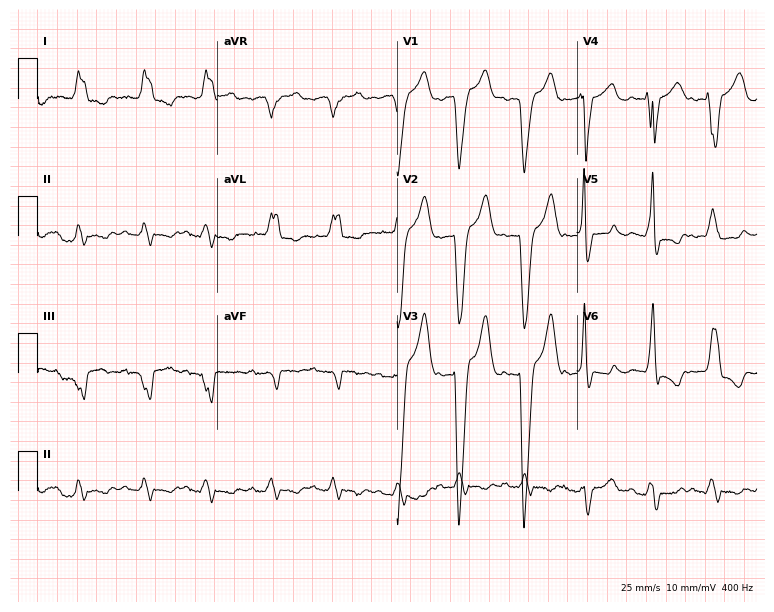
12-lead ECG from an 81-year-old male. Shows left bundle branch block.